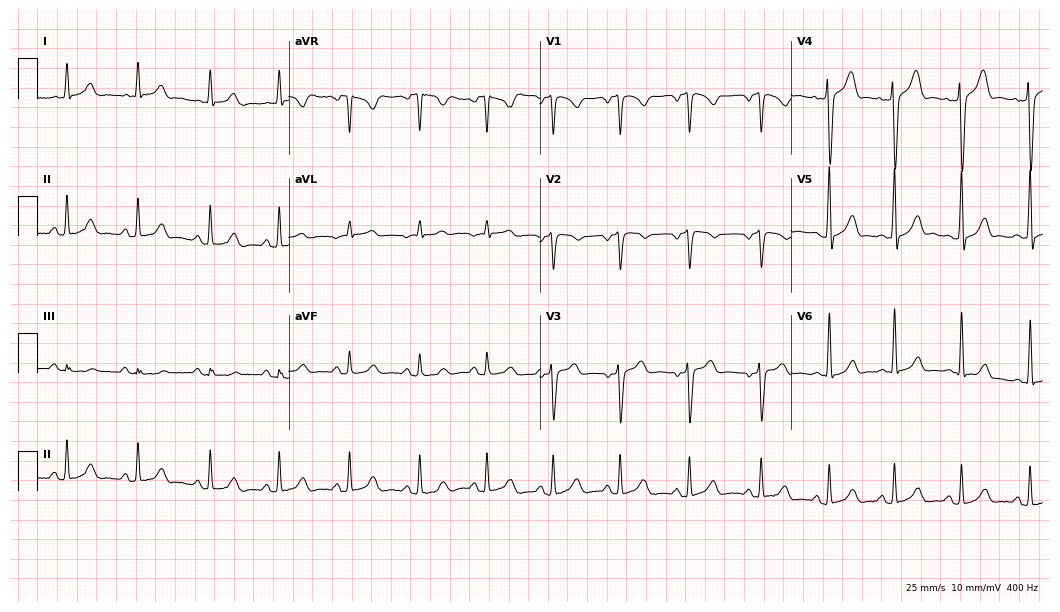
Standard 12-lead ECG recorded from a 28-year-old man. None of these six findings is recorded: first-degree AV block, right bundle branch block (RBBB), left bundle branch block (LBBB), sinus bradycardia, atrial fibrillation (AF), sinus tachycardia.